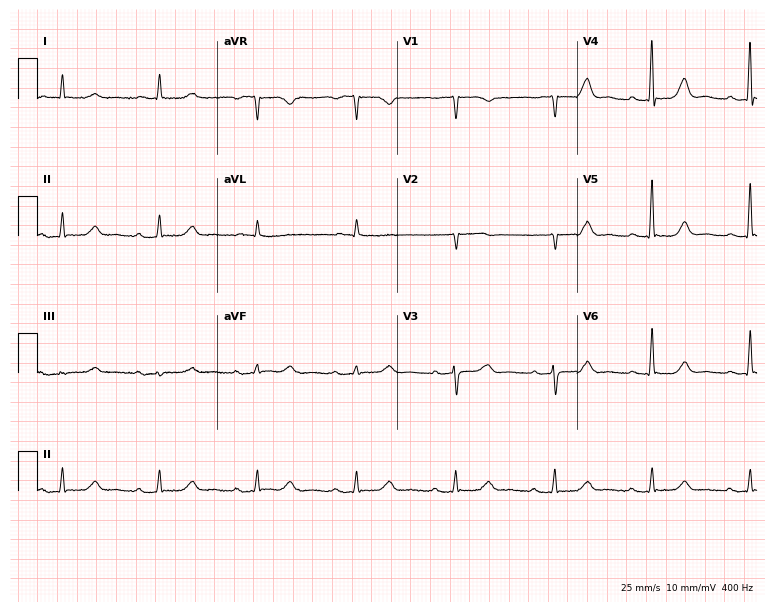
Resting 12-lead electrocardiogram (7.3-second recording at 400 Hz). Patient: a female, 78 years old. Read as a normal ECG.